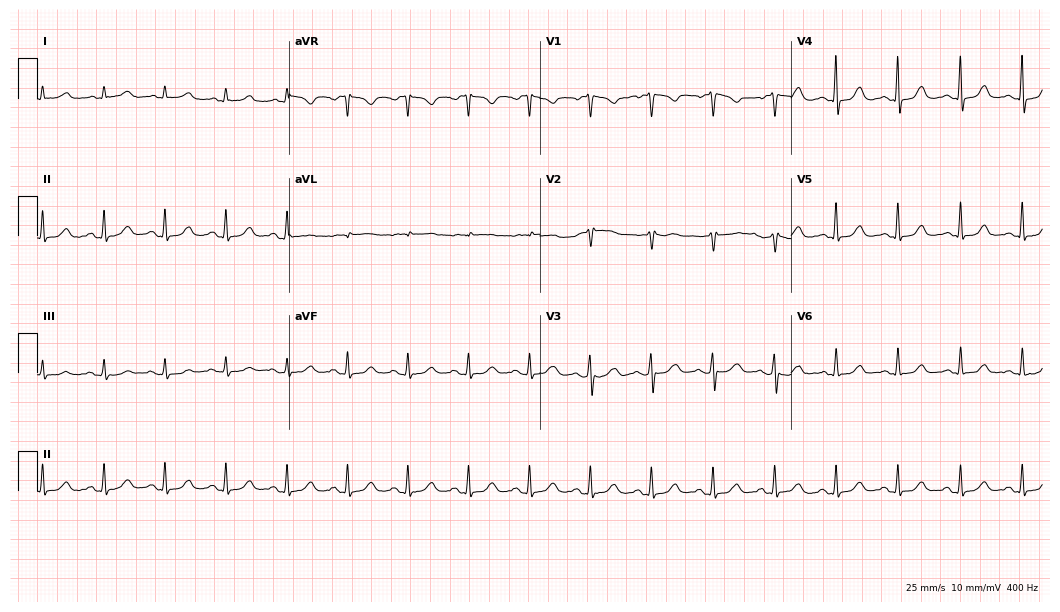
Standard 12-lead ECG recorded from a woman, 58 years old. None of these six findings is recorded: first-degree AV block, right bundle branch block, left bundle branch block, sinus bradycardia, atrial fibrillation, sinus tachycardia. Findings outside these six are not listed.